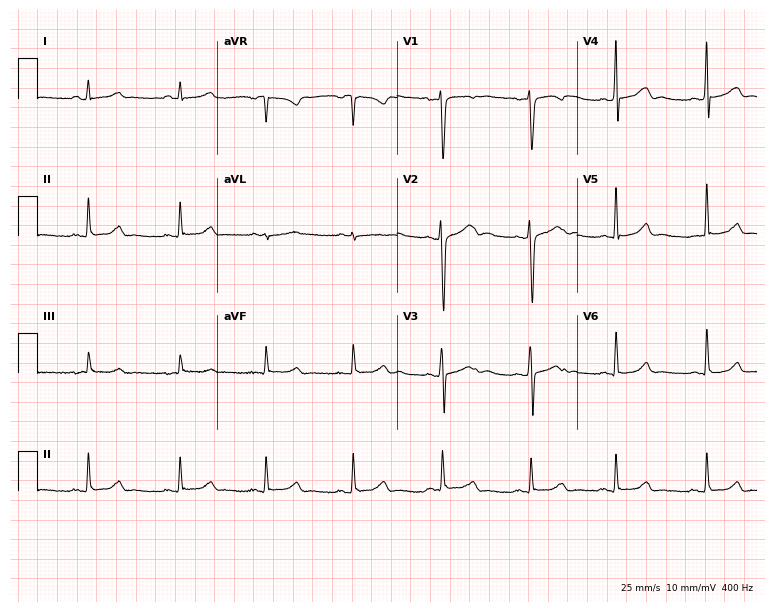
12-lead ECG (7.3-second recording at 400 Hz) from a female patient, 27 years old. Labelled as a normal ECG.